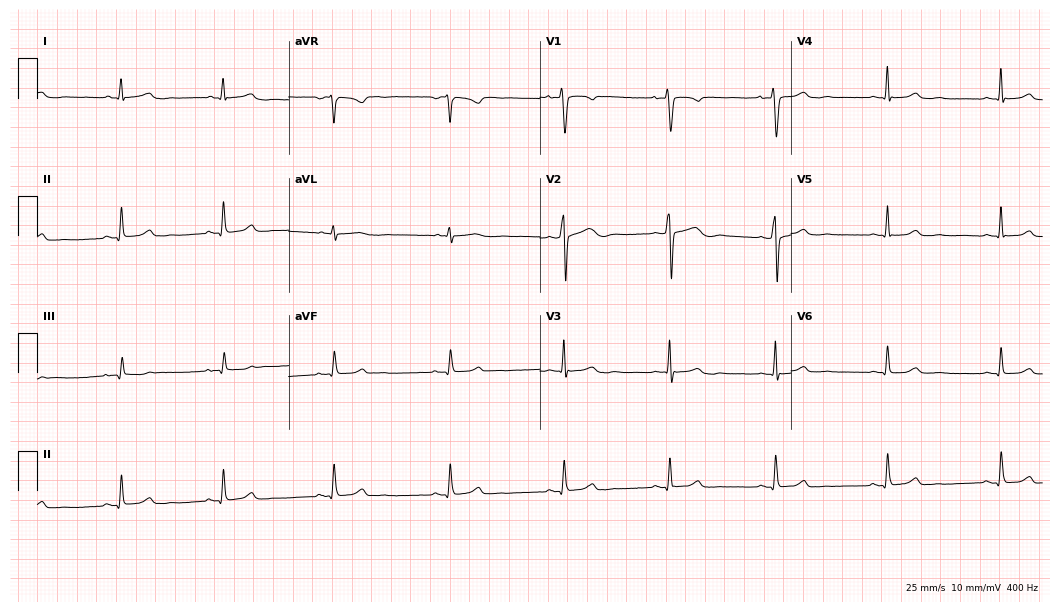
12-lead ECG from a woman, 28 years old (10.2-second recording at 400 Hz). Recorded interpretation: within normal limits.